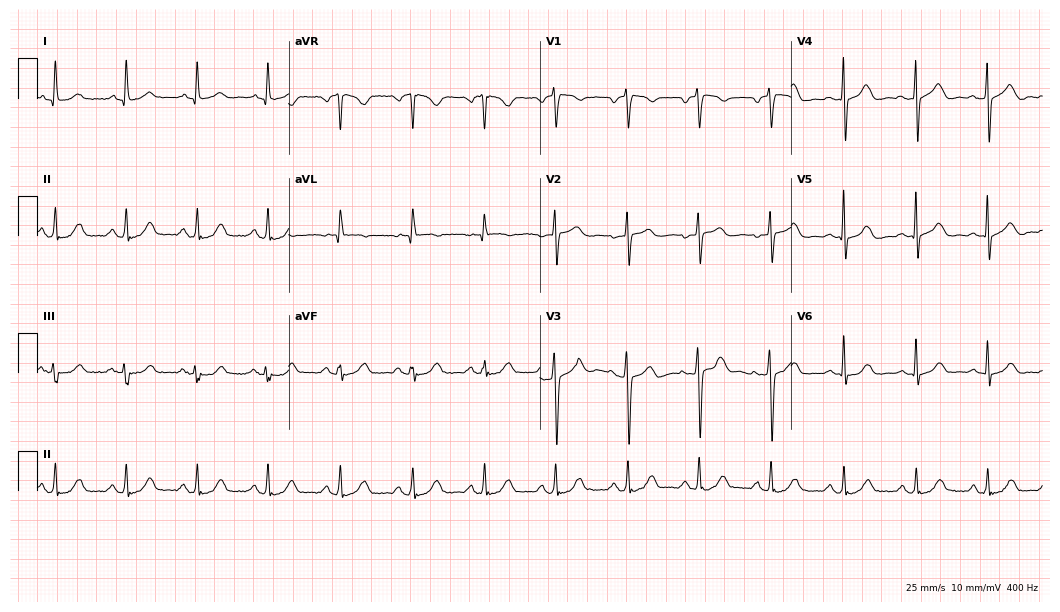
Standard 12-lead ECG recorded from a 74-year-old woman (10.2-second recording at 400 Hz). None of these six findings is recorded: first-degree AV block, right bundle branch block (RBBB), left bundle branch block (LBBB), sinus bradycardia, atrial fibrillation (AF), sinus tachycardia. Other findings, if any, are not listed.